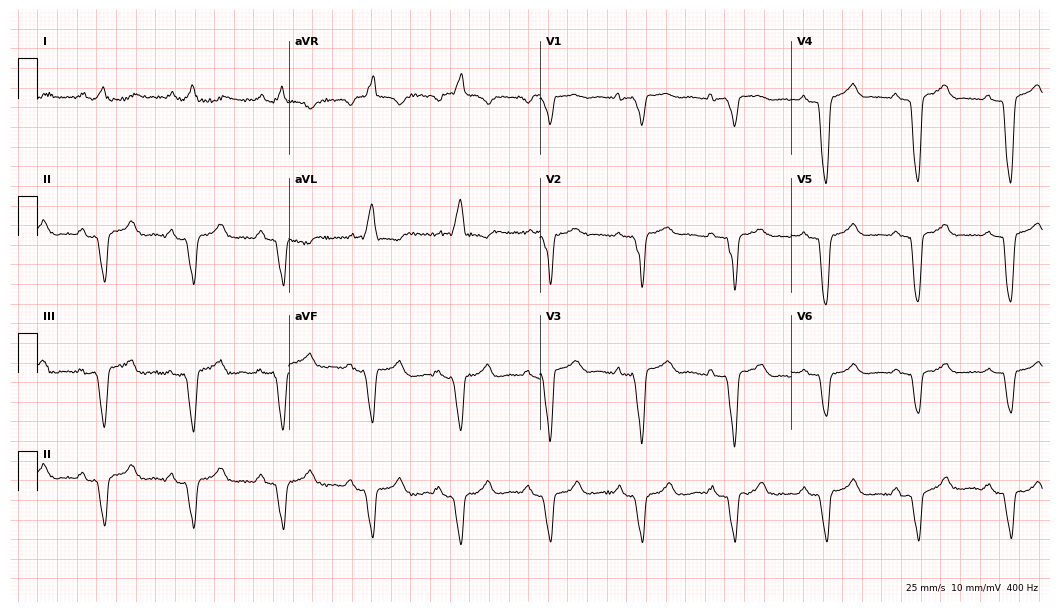
Electrocardiogram, a 61-year-old woman. Interpretation includes left bundle branch block.